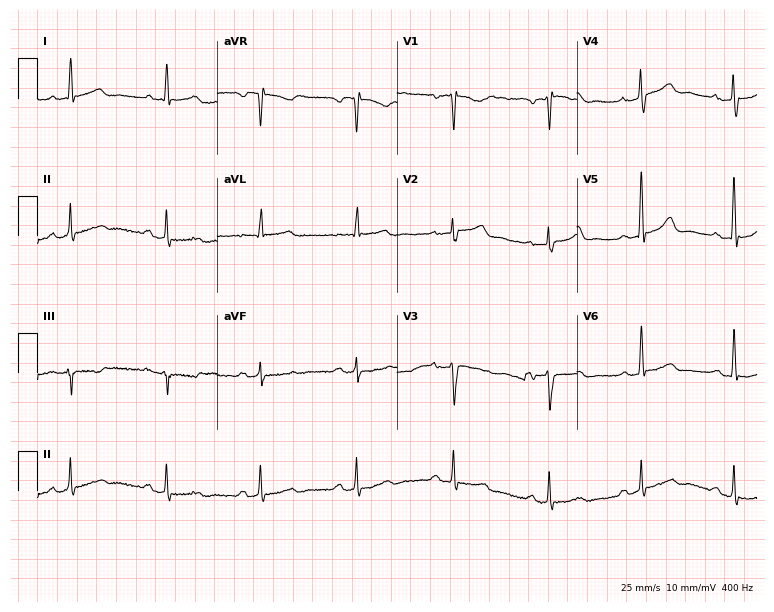
Resting 12-lead electrocardiogram. Patient: a 53-year-old woman. The tracing shows first-degree AV block.